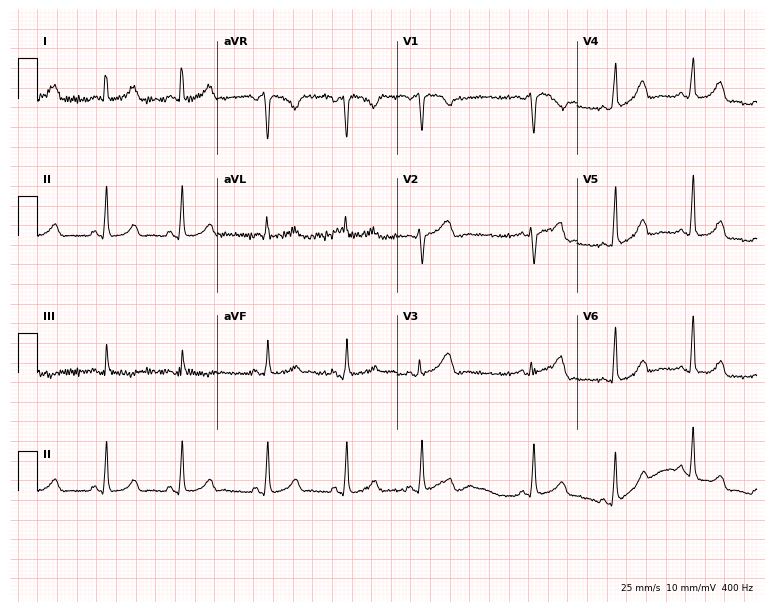
ECG — a female, 25 years old. Screened for six findings — first-degree AV block, right bundle branch block, left bundle branch block, sinus bradycardia, atrial fibrillation, sinus tachycardia — none is recorded. Other findings, if any, are not listed.